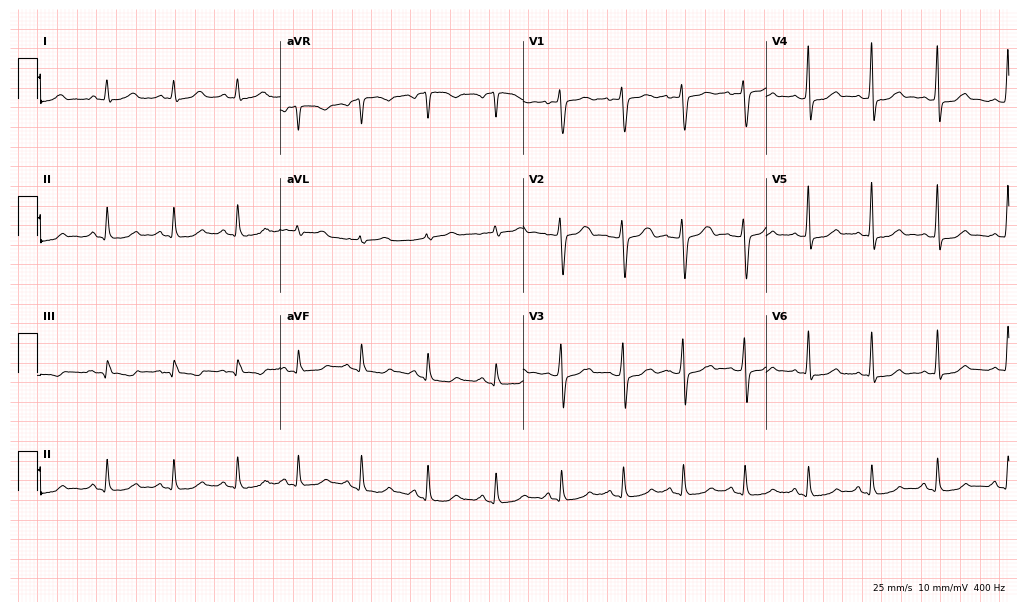
12-lead ECG (9.9-second recording at 400 Hz) from a woman, 43 years old. Screened for six findings — first-degree AV block, right bundle branch block, left bundle branch block, sinus bradycardia, atrial fibrillation, sinus tachycardia — none is recorded.